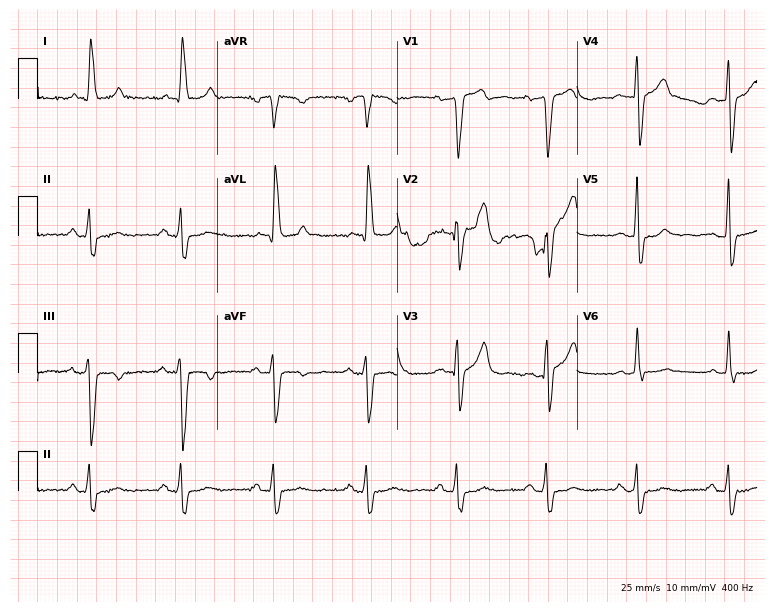
12-lead ECG from a 73-year-old man (7.3-second recording at 400 Hz). No first-degree AV block, right bundle branch block (RBBB), left bundle branch block (LBBB), sinus bradycardia, atrial fibrillation (AF) or sinus tachycardia recorded for this tracing.